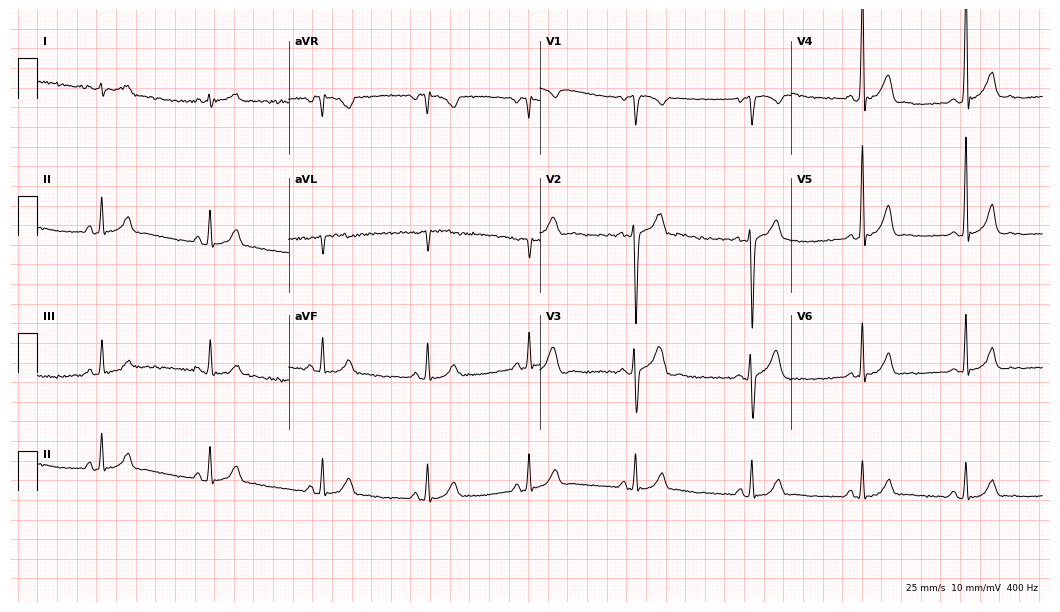
ECG — a female, 28 years old. Labelled as a normal ECG.